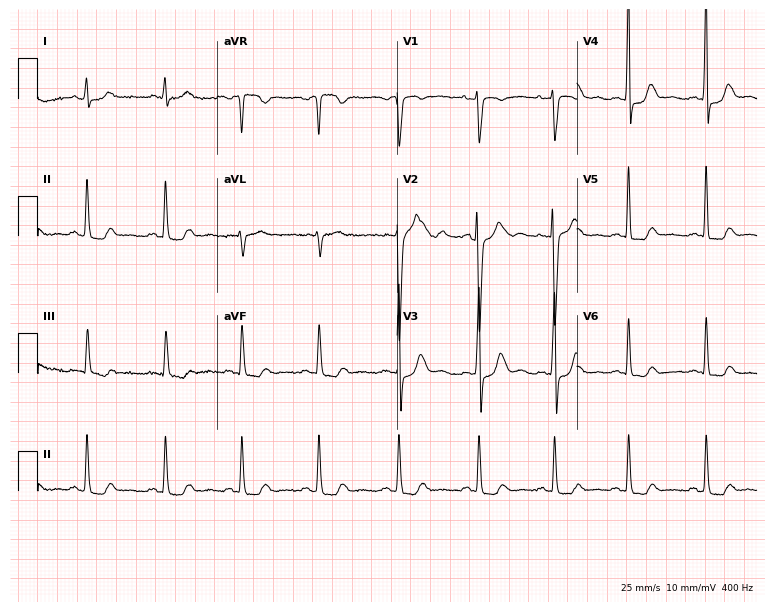
Electrocardiogram (7.3-second recording at 400 Hz), a woman, 45 years old. Of the six screened findings (first-degree AV block, right bundle branch block (RBBB), left bundle branch block (LBBB), sinus bradycardia, atrial fibrillation (AF), sinus tachycardia), none is recorded.